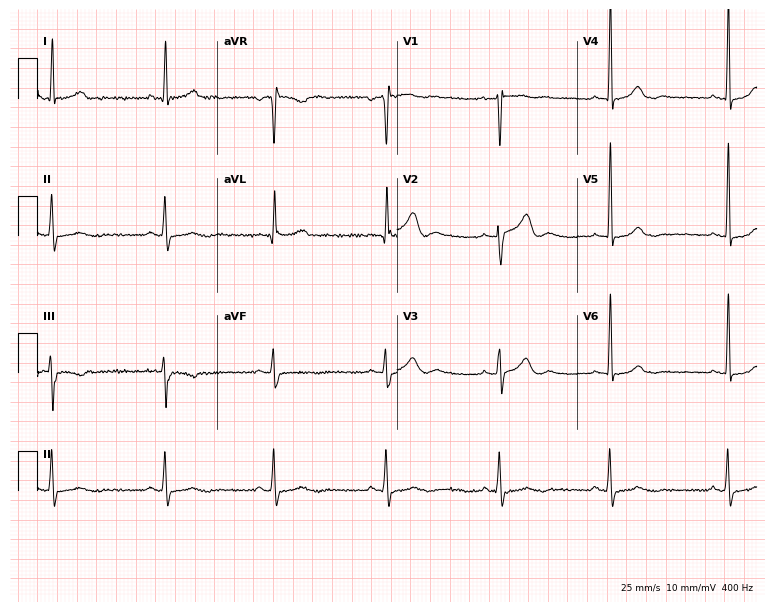
Standard 12-lead ECG recorded from a 46-year-old woman (7.3-second recording at 400 Hz). None of these six findings is recorded: first-degree AV block, right bundle branch block (RBBB), left bundle branch block (LBBB), sinus bradycardia, atrial fibrillation (AF), sinus tachycardia. Other findings, if any, are not listed.